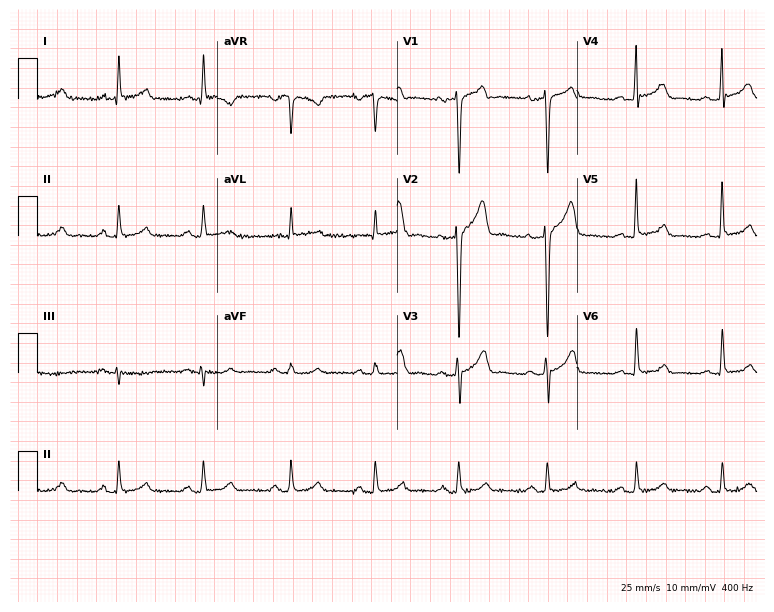
12-lead ECG from a male patient, 39 years old. No first-degree AV block, right bundle branch block, left bundle branch block, sinus bradycardia, atrial fibrillation or sinus tachycardia recorded for this tracing. Only these six findings were labelled.